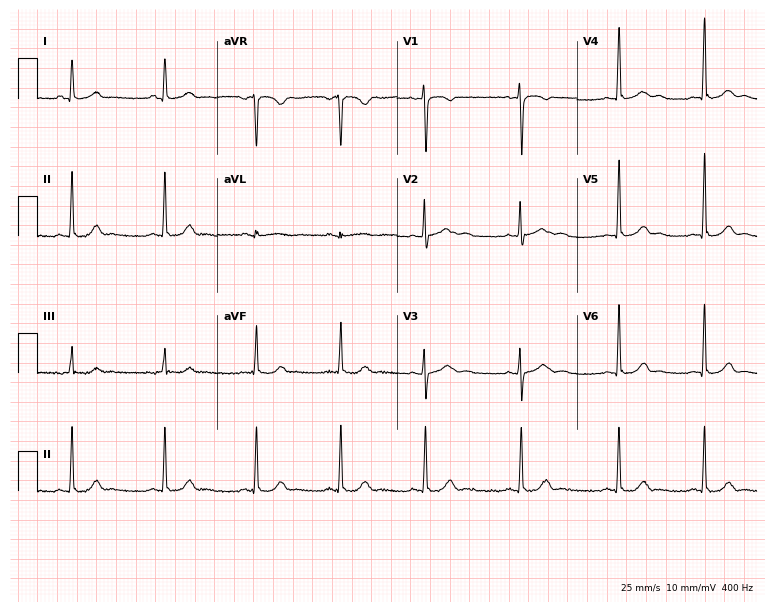
Electrocardiogram (7.3-second recording at 400 Hz), a 19-year-old female patient. Of the six screened findings (first-degree AV block, right bundle branch block (RBBB), left bundle branch block (LBBB), sinus bradycardia, atrial fibrillation (AF), sinus tachycardia), none is recorded. Other findings, if any, are not listed.